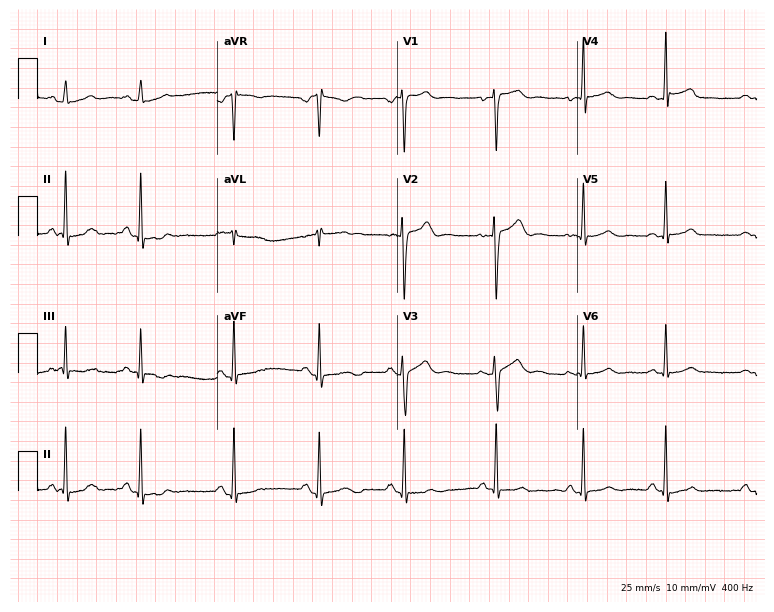
Standard 12-lead ECG recorded from a 20-year-old female patient. None of these six findings is recorded: first-degree AV block, right bundle branch block (RBBB), left bundle branch block (LBBB), sinus bradycardia, atrial fibrillation (AF), sinus tachycardia.